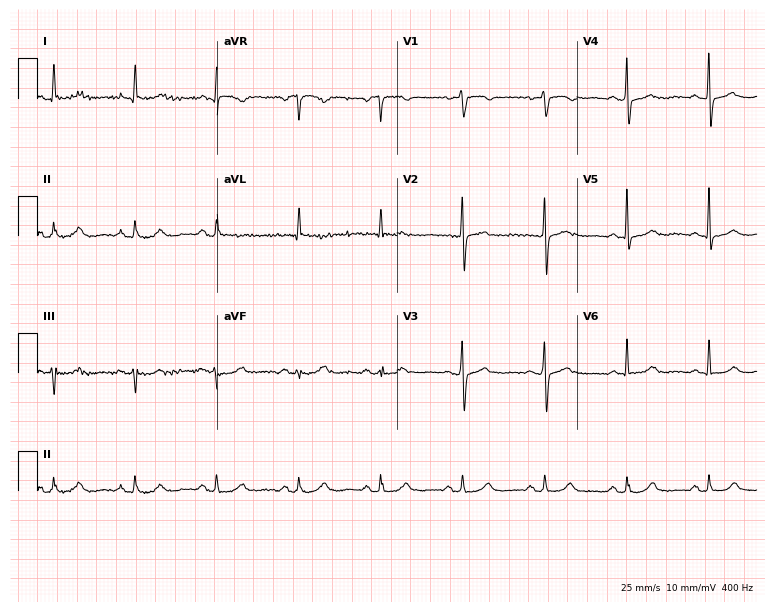
Resting 12-lead electrocardiogram. Patient: a woman, 76 years old. Read as a normal ECG.